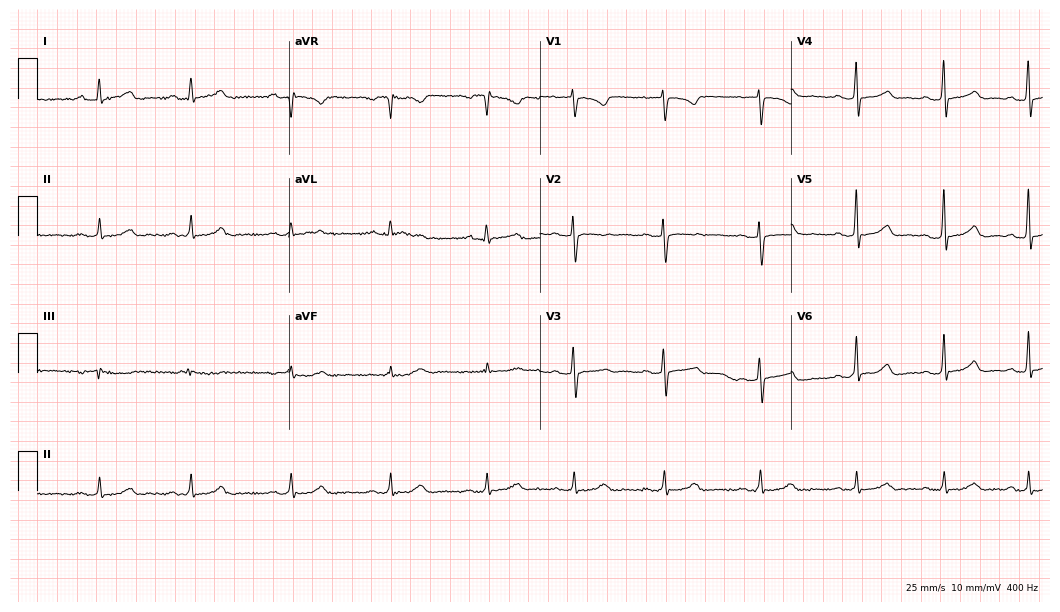
Resting 12-lead electrocardiogram. Patient: a 37-year-old female. Read as a normal ECG.